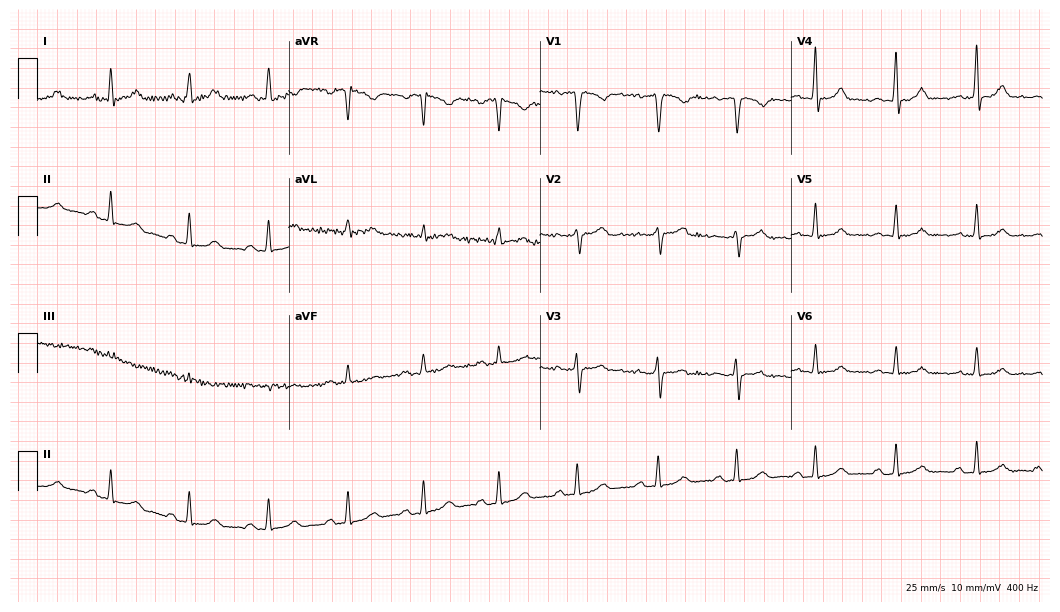
12-lead ECG from a 37-year-old female. Labelled as a normal ECG.